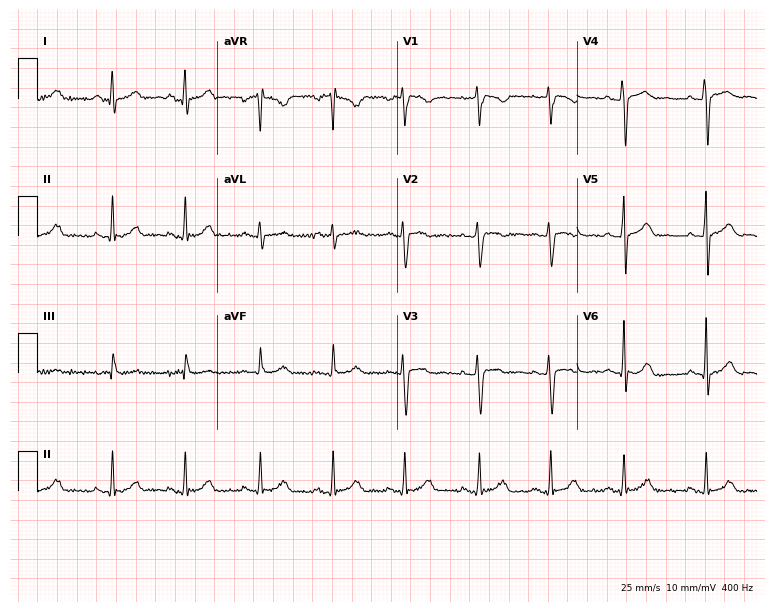
Resting 12-lead electrocardiogram (7.3-second recording at 400 Hz). Patient: a 25-year-old woman. None of these six findings is recorded: first-degree AV block, right bundle branch block (RBBB), left bundle branch block (LBBB), sinus bradycardia, atrial fibrillation (AF), sinus tachycardia. Only these six findings were labelled.